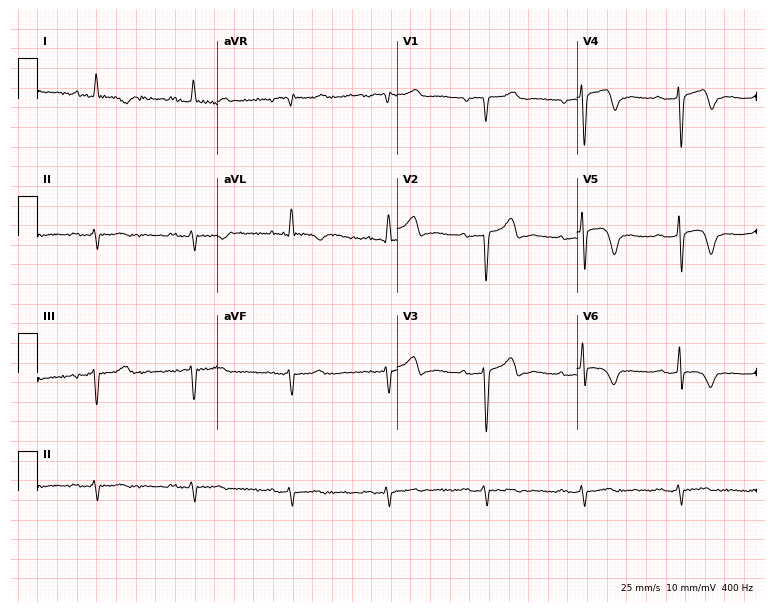
12-lead ECG from a man, 77 years old. No first-degree AV block, right bundle branch block, left bundle branch block, sinus bradycardia, atrial fibrillation or sinus tachycardia recorded for this tracing. Only these six findings were labelled.